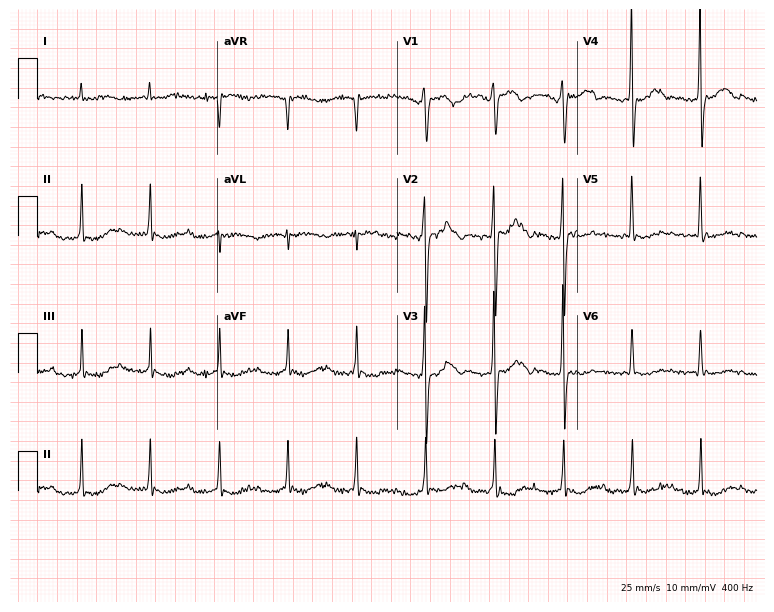
12-lead ECG from a man, 81 years old. Screened for six findings — first-degree AV block, right bundle branch block, left bundle branch block, sinus bradycardia, atrial fibrillation, sinus tachycardia — none is recorded.